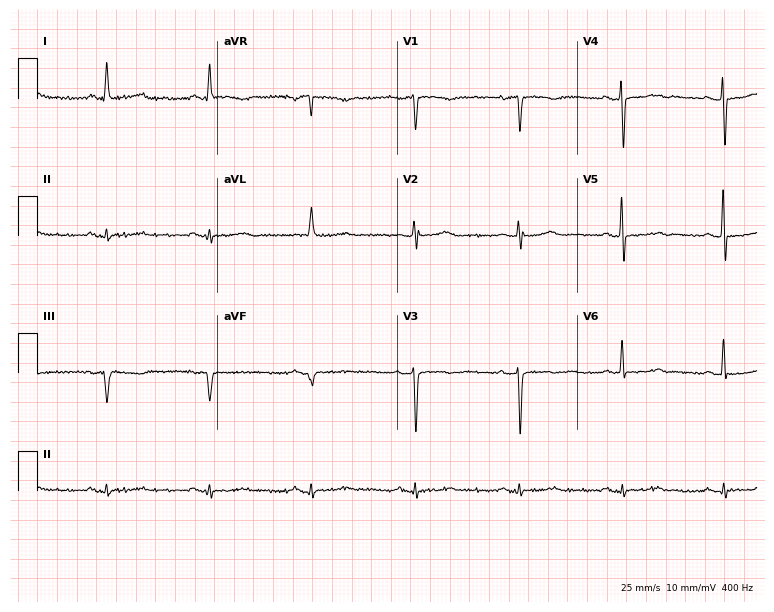
12-lead ECG (7.3-second recording at 400 Hz) from a female patient, 76 years old. Labelled as a normal ECG.